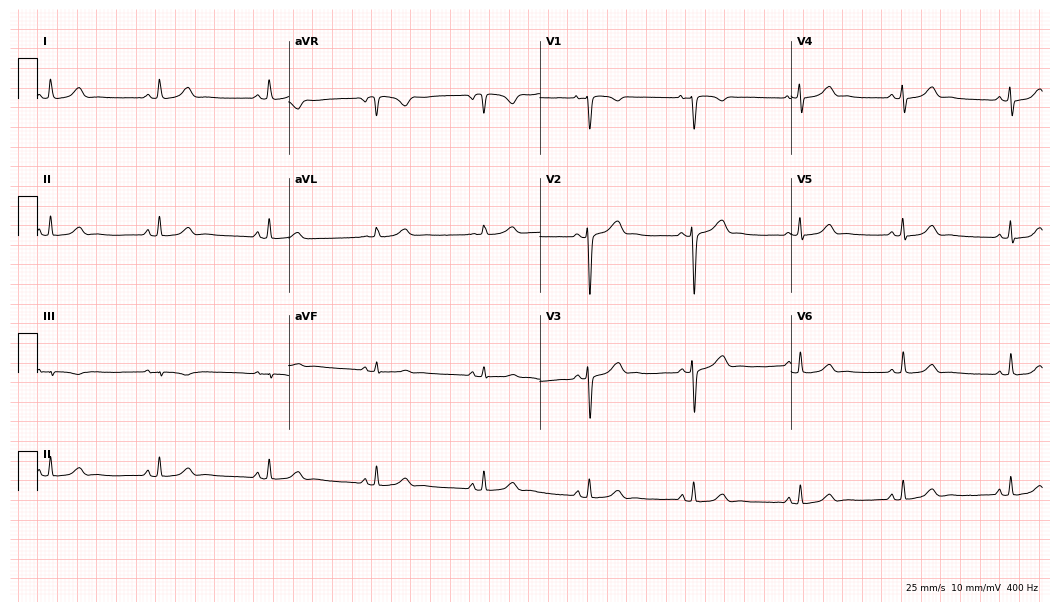
Electrocardiogram, a female, 30 years old. Overall reading on record: normal ECG.